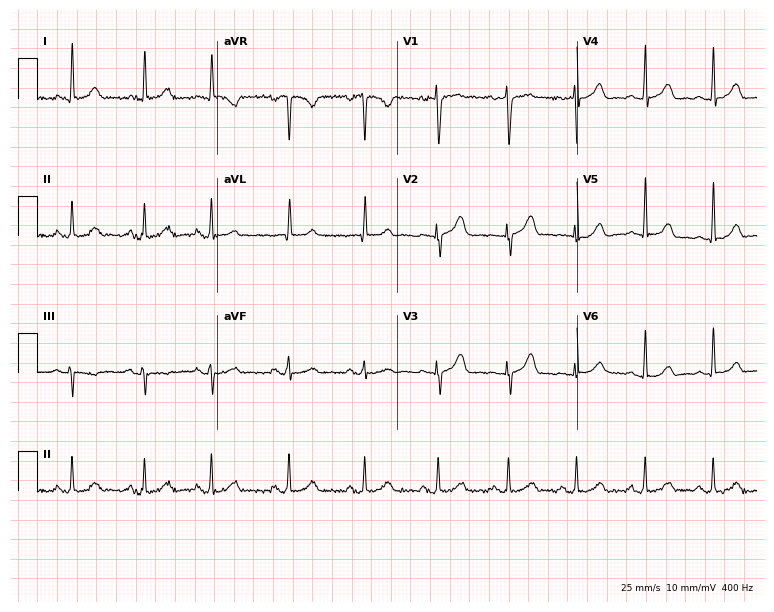
Electrocardiogram, a 48-year-old woman. Overall reading on record: normal ECG.